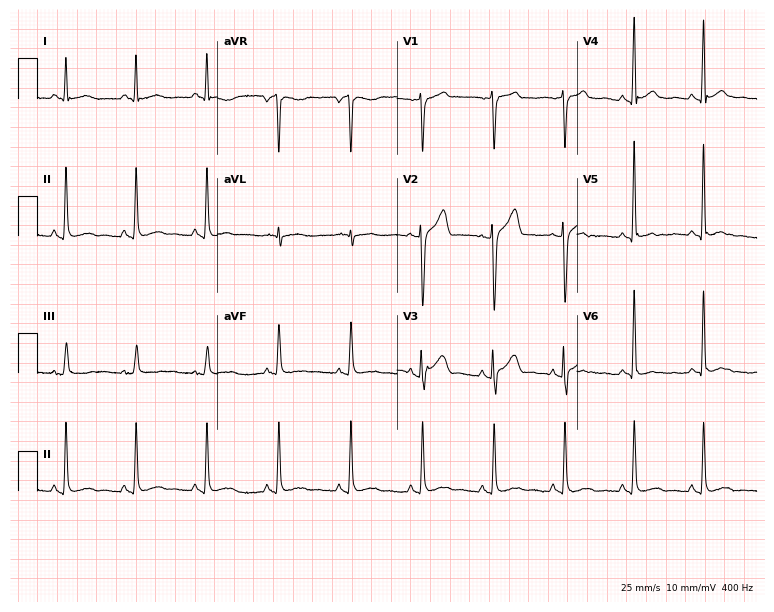
Standard 12-lead ECG recorded from a 59-year-old man (7.3-second recording at 400 Hz). None of these six findings is recorded: first-degree AV block, right bundle branch block, left bundle branch block, sinus bradycardia, atrial fibrillation, sinus tachycardia. Findings outside these six are not listed.